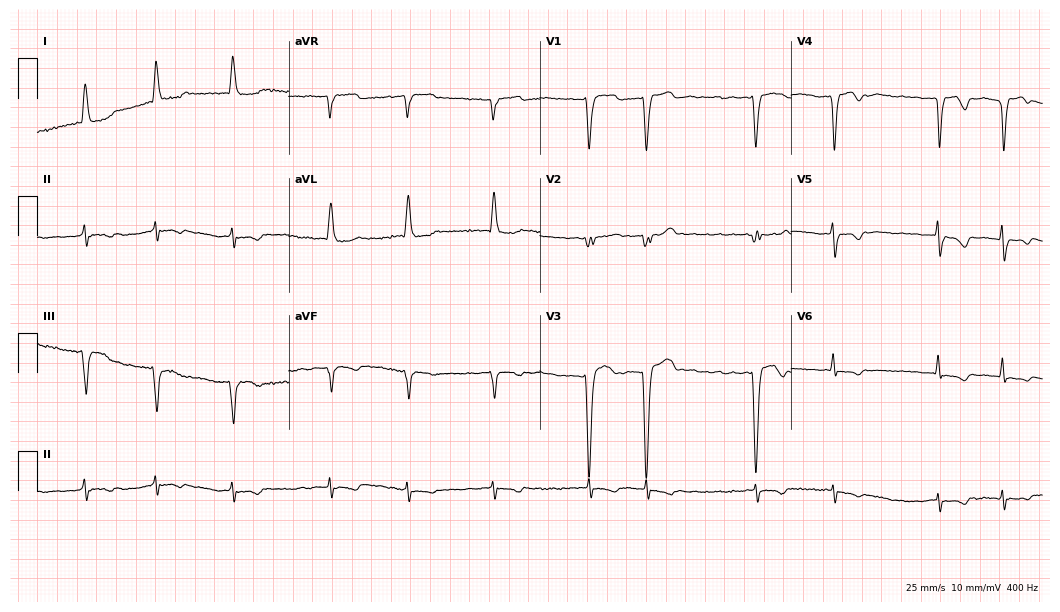
ECG — a 65-year-old female patient. Findings include atrial fibrillation.